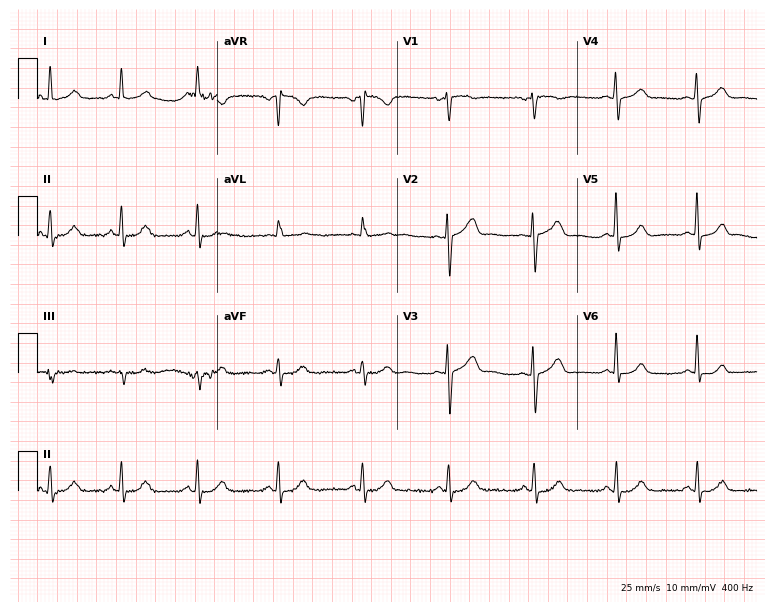
12-lead ECG from a woman, 47 years old. Recorded interpretation: within normal limits.